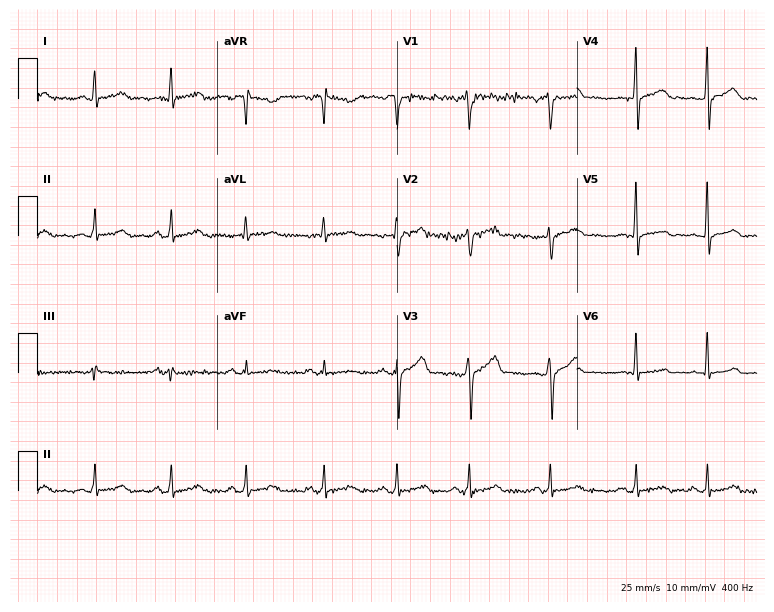
ECG — a 41-year-old male. Labelled as a normal ECG.